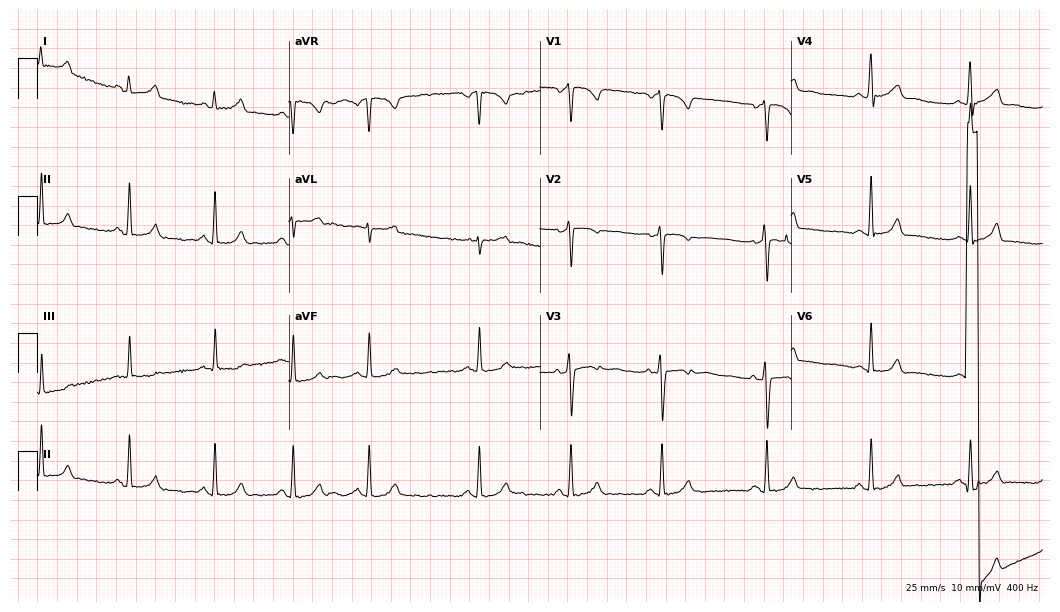
Electrocardiogram, a 28-year-old female. Overall reading on record: normal ECG.